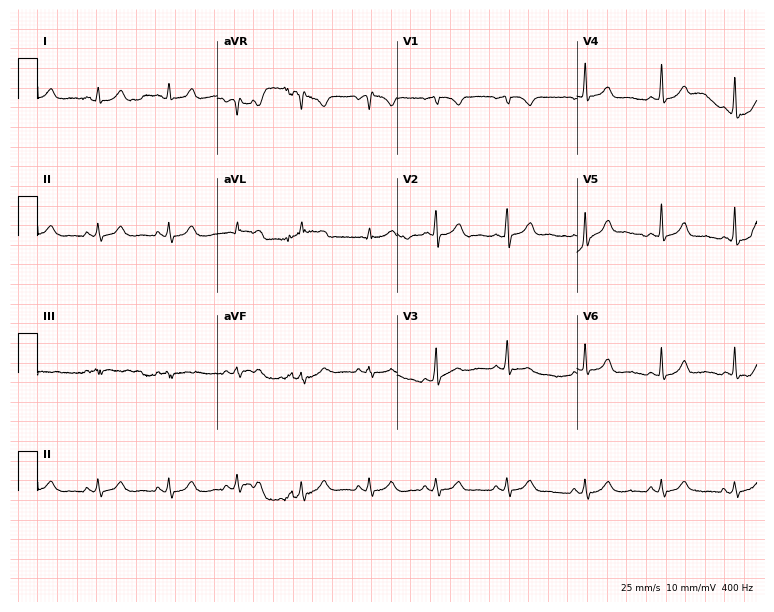
Electrocardiogram, a 19-year-old female. Of the six screened findings (first-degree AV block, right bundle branch block (RBBB), left bundle branch block (LBBB), sinus bradycardia, atrial fibrillation (AF), sinus tachycardia), none is recorded. Other findings, if any, are not listed.